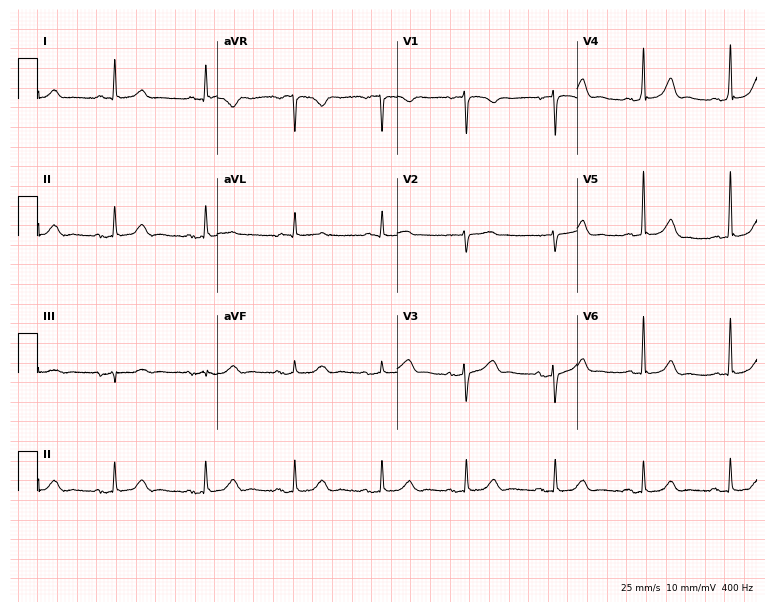
12-lead ECG from a 63-year-old male (7.3-second recording at 400 Hz). No first-degree AV block, right bundle branch block (RBBB), left bundle branch block (LBBB), sinus bradycardia, atrial fibrillation (AF) or sinus tachycardia recorded for this tracing. Findings outside these six are not listed.